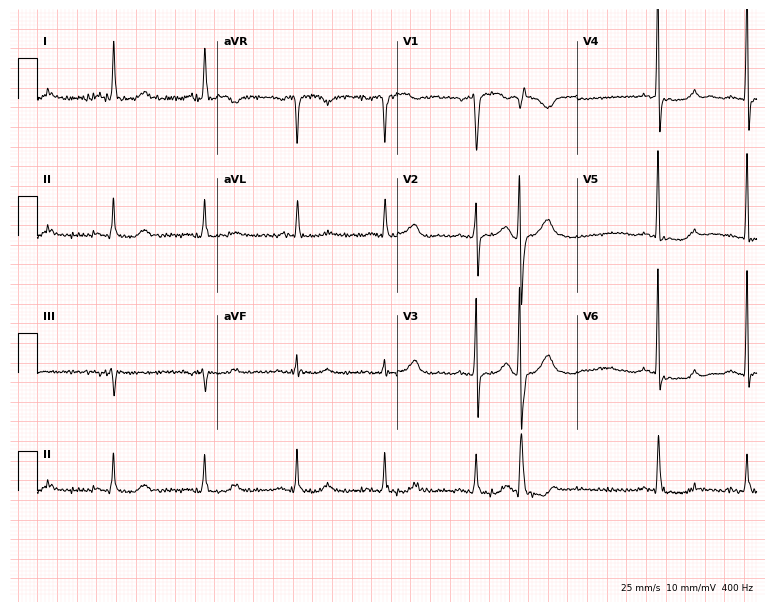
Standard 12-lead ECG recorded from a 69-year-old female patient (7.3-second recording at 400 Hz). Read as a normal ECG.